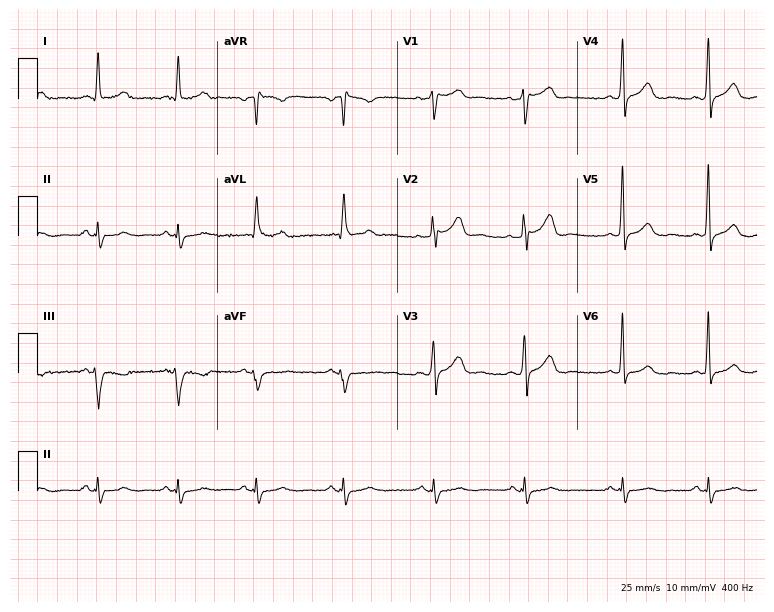
12-lead ECG (7.3-second recording at 400 Hz) from a male patient, 56 years old. Screened for six findings — first-degree AV block, right bundle branch block (RBBB), left bundle branch block (LBBB), sinus bradycardia, atrial fibrillation (AF), sinus tachycardia — none is recorded.